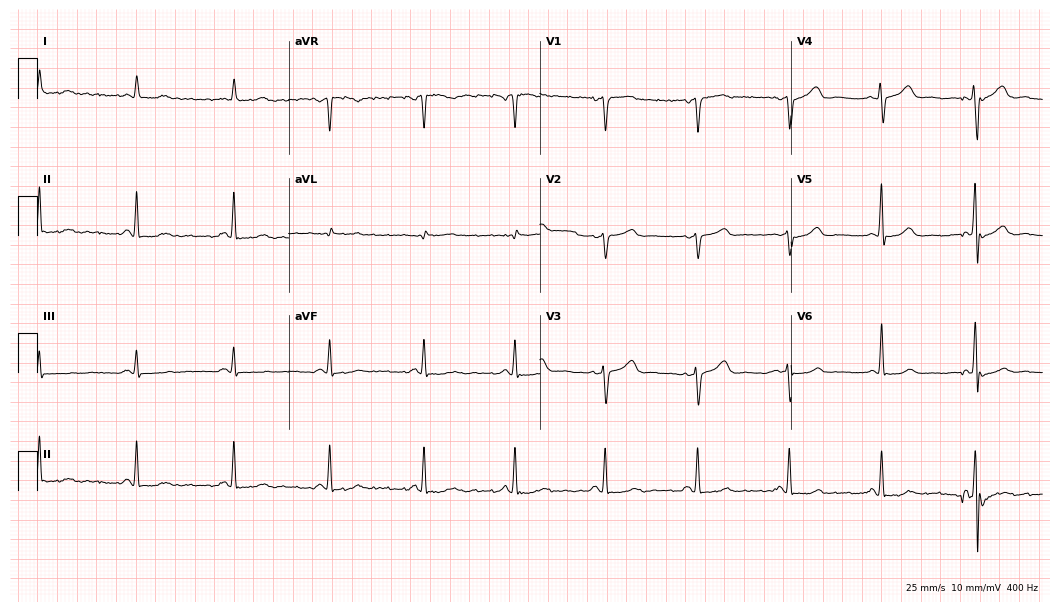
ECG (10.2-second recording at 400 Hz) — a 66-year-old female. Screened for six findings — first-degree AV block, right bundle branch block (RBBB), left bundle branch block (LBBB), sinus bradycardia, atrial fibrillation (AF), sinus tachycardia — none is recorded.